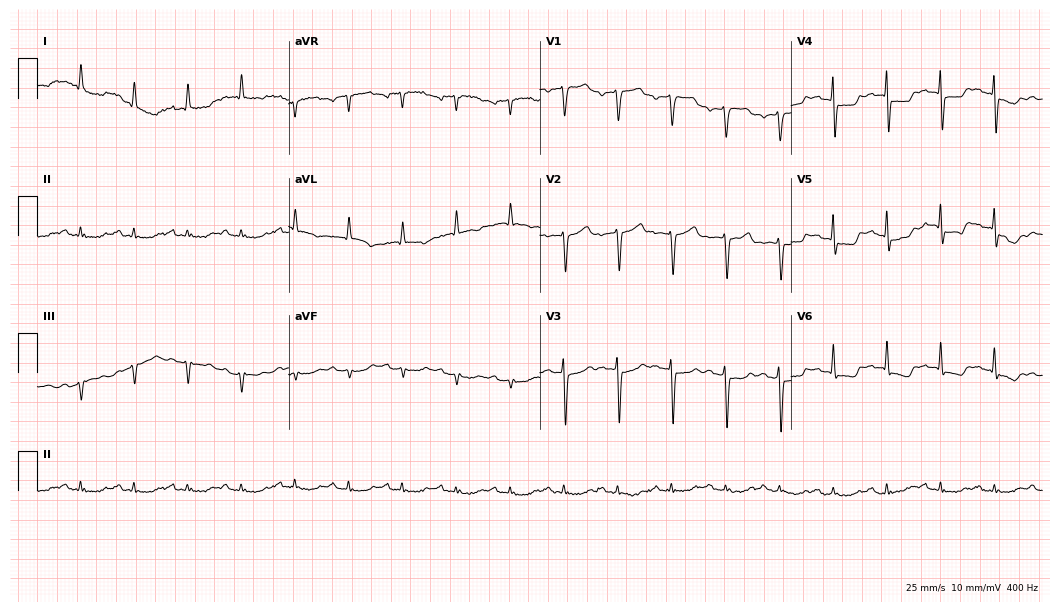
Resting 12-lead electrocardiogram (10.2-second recording at 400 Hz). Patient: a male, 81 years old. None of these six findings is recorded: first-degree AV block, right bundle branch block, left bundle branch block, sinus bradycardia, atrial fibrillation, sinus tachycardia. Only these six findings were labelled.